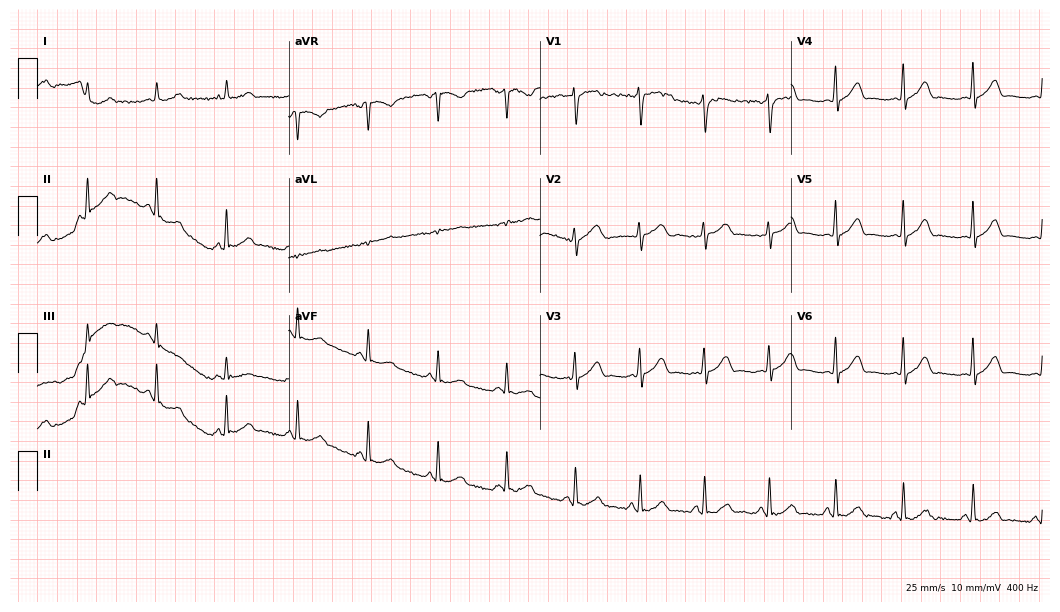
Resting 12-lead electrocardiogram. Patient: a female, 27 years old. None of these six findings is recorded: first-degree AV block, right bundle branch block (RBBB), left bundle branch block (LBBB), sinus bradycardia, atrial fibrillation (AF), sinus tachycardia.